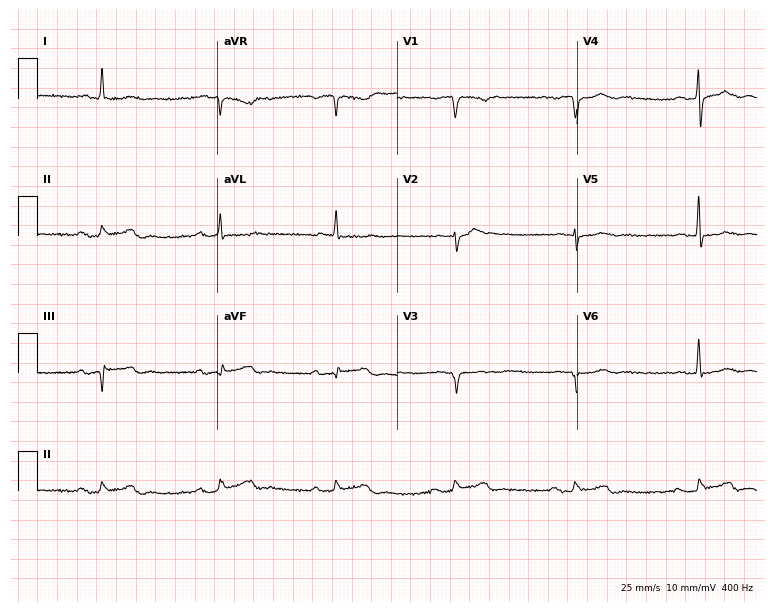
Standard 12-lead ECG recorded from a male, 72 years old. None of these six findings is recorded: first-degree AV block, right bundle branch block, left bundle branch block, sinus bradycardia, atrial fibrillation, sinus tachycardia. Other findings, if any, are not listed.